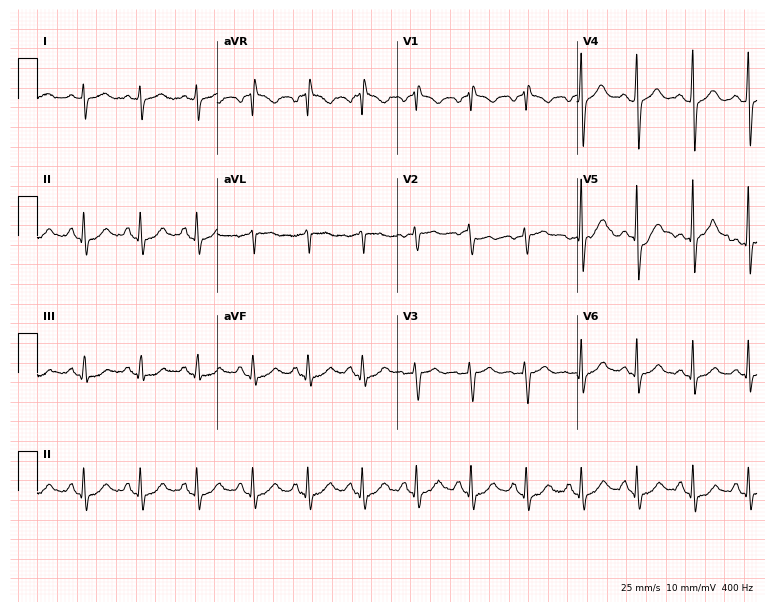
Electrocardiogram, a woman, 50 years old. Of the six screened findings (first-degree AV block, right bundle branch block, left bundle branch block, sinus bradycardia, atrial fibrillation, sinus tachycardia), none is recorded. Other findings, if any, are not listed.